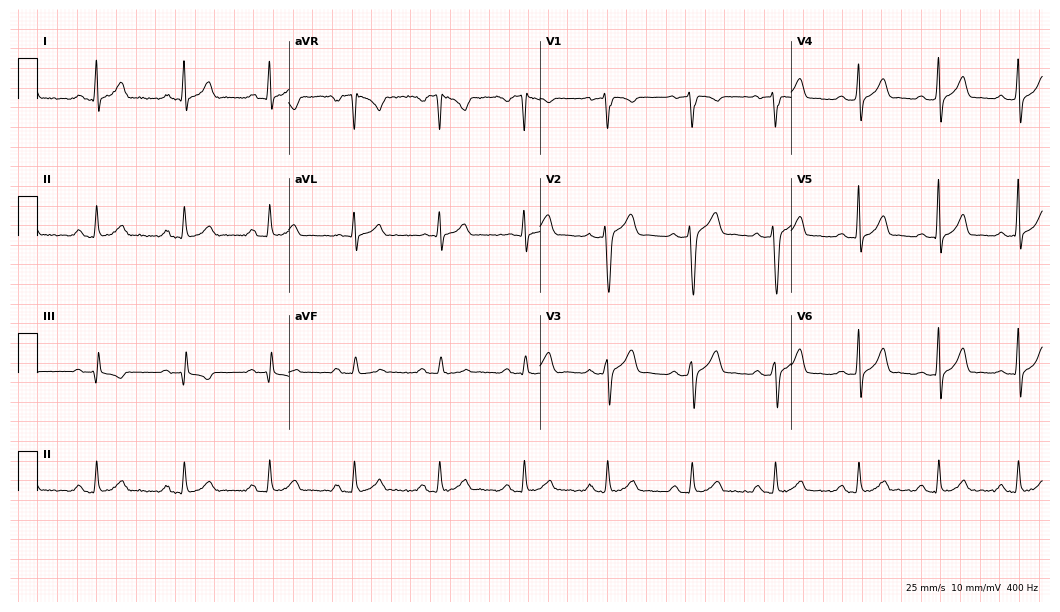
12-lead ECG from a 37-year-old male. Recorded interpretation: within normal limits.